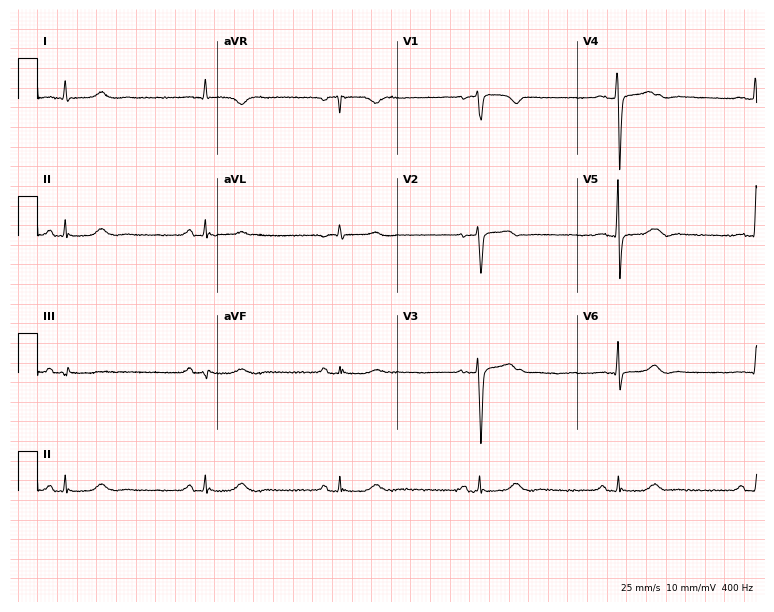
12-lead ECG from a man, 70 years old (7.3-second recording at 400 Hz). Shows sinus bradycardia (a sinus rate of 50 beats per minute or less).